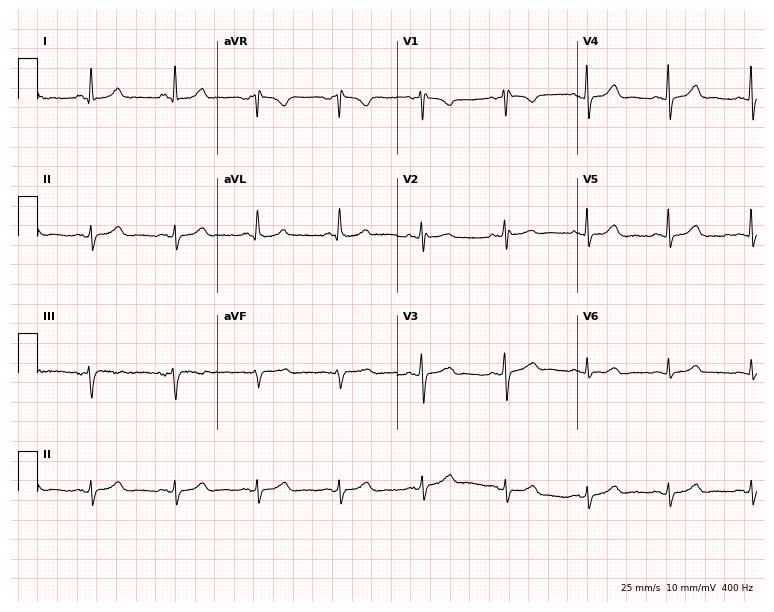
ECG — a female patient, 56 years old. Screened for six findings — first-degree AV block, right bundle branch block (RBBB), left bundle branch block (LBBB), sinus bradycardia, atrial fibrillation (AF), sinus tachycardia — none is recorded. Only these six findings were labelled.